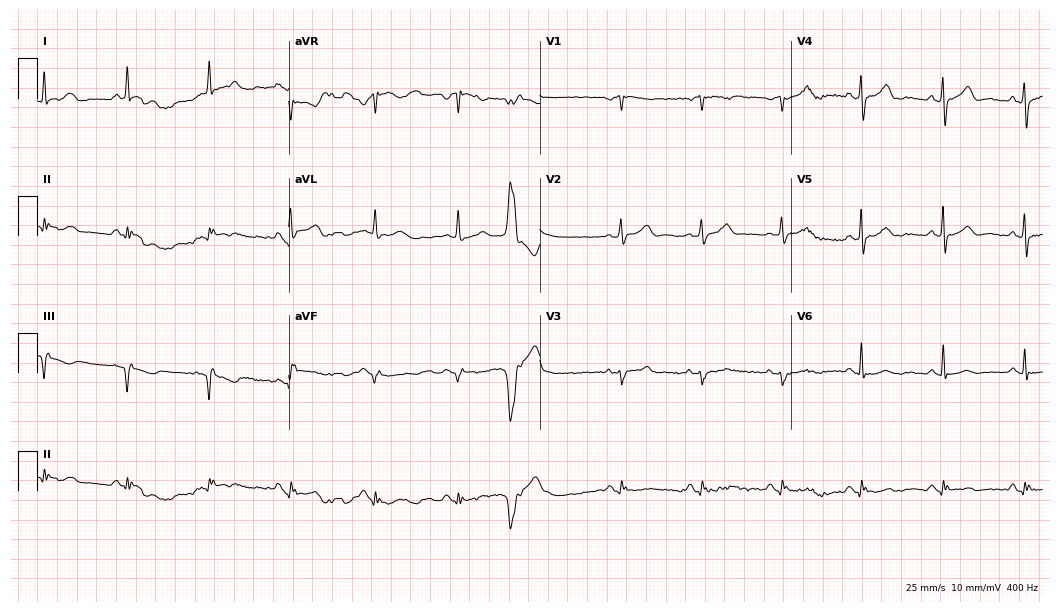
Standard 12-lead ECG recorded from a man, 86 years old. None of these six findings is recorded: first-degree AV block, right bundle branch block, left bundle branch block, sinus bradycardia, atrial fibrillation, sinus tachycardia.